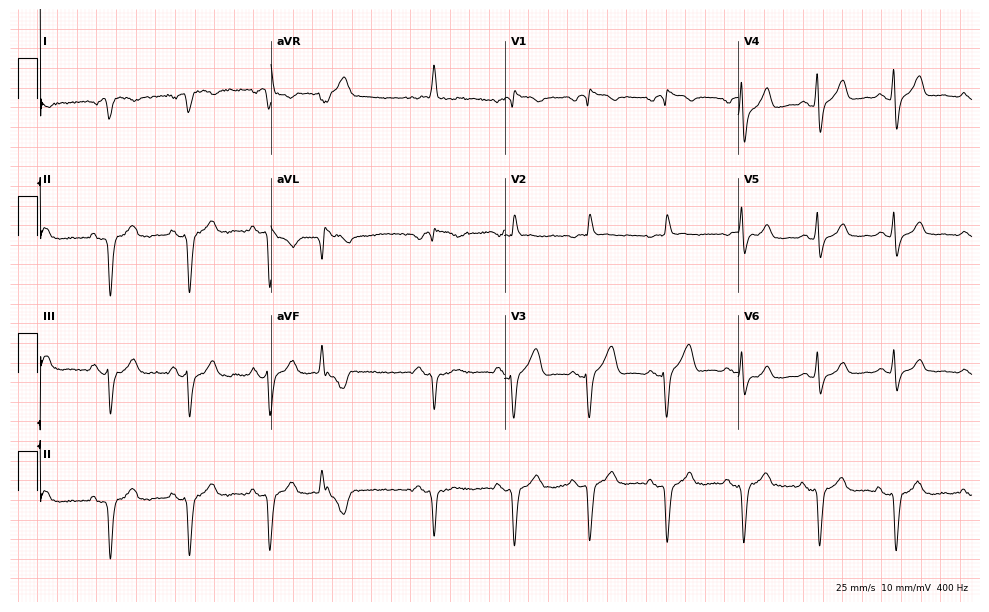
12-lead ECG from a male patient, 75 years old (9.5-second recording at 400 Hz). No first-degree AV block, right bundle branch block, left bundle branch block, sinus bradycardia, atrial fibrillation or sinus tachycardia recorded for this tracing.